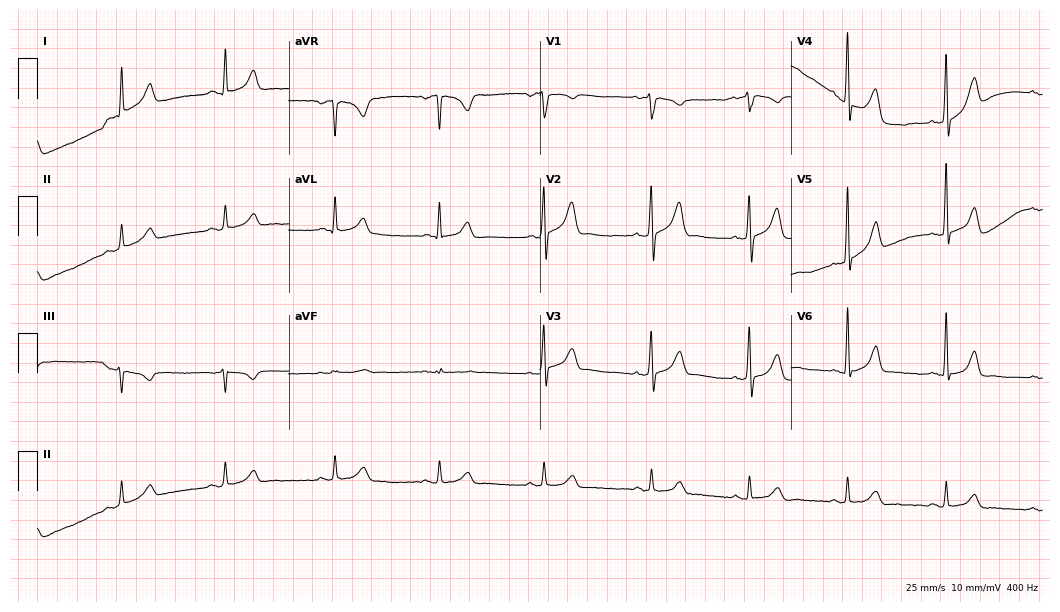
Electrocardiogram (10.2-second recording at 400 Hz), a 42-year-old man. Overall reading on record: normal ECG.